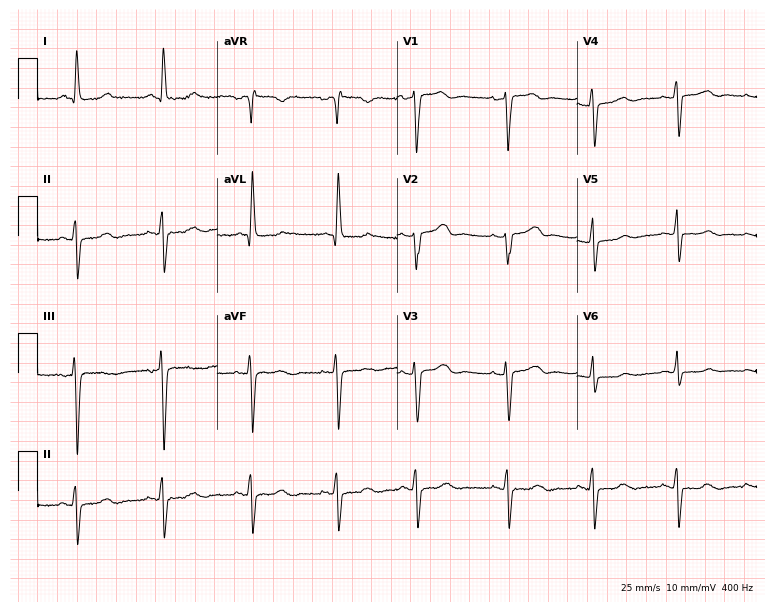
Standard 12-lead ECG recorded from a female, 62 years old (7.3-second recording at 400 Hz). None of these six findings is recorded: first-degree AV block, right bundle branch block, left bundle branch block, sinus bradycardia, atrial fibrillation, sinus tachycardia. Only these six findings were labelled.